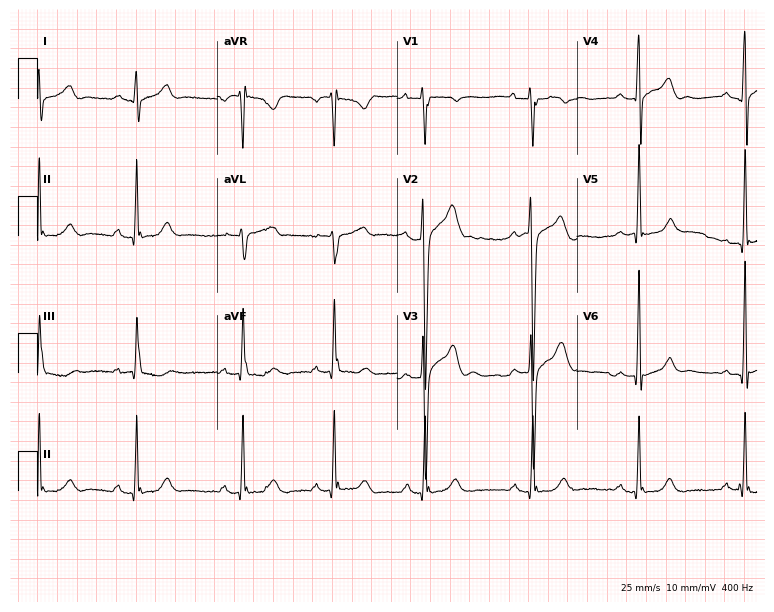
12-lead ECG from a 34-year-old male (7.3-second recording at 400 Hz). Recorded interpretation: within normal limits.